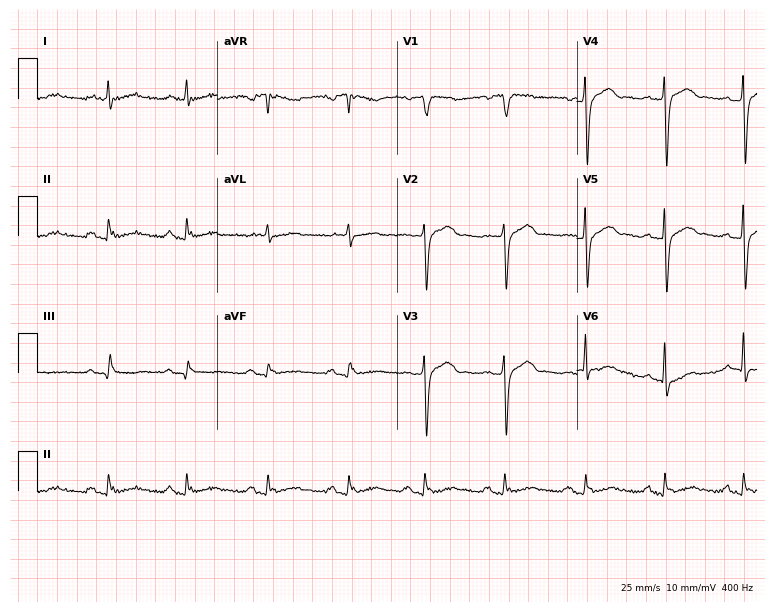
Electrocardiogram (7.3-second recording at 400 Hz), a male, 58 years old. Of the six screened findings (first-degree AV block, right bundle branch block, left bundle branch block, sinus bradycardia, atrial fibrillation, sinus tachycardia), none is recorded.